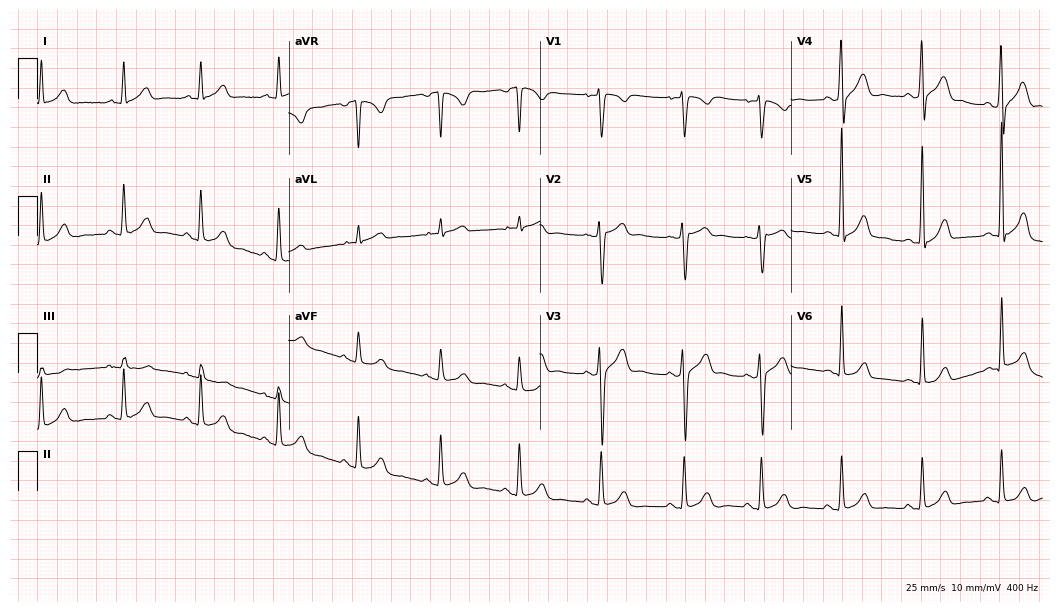
ECG — a male patient, 35 years old. Screened for six findings — first-degree AV block, right bundle branch block, left bundle branch block, sinus bradycardia, atrial fibrillation, sinus tachycardia — none is recorded.